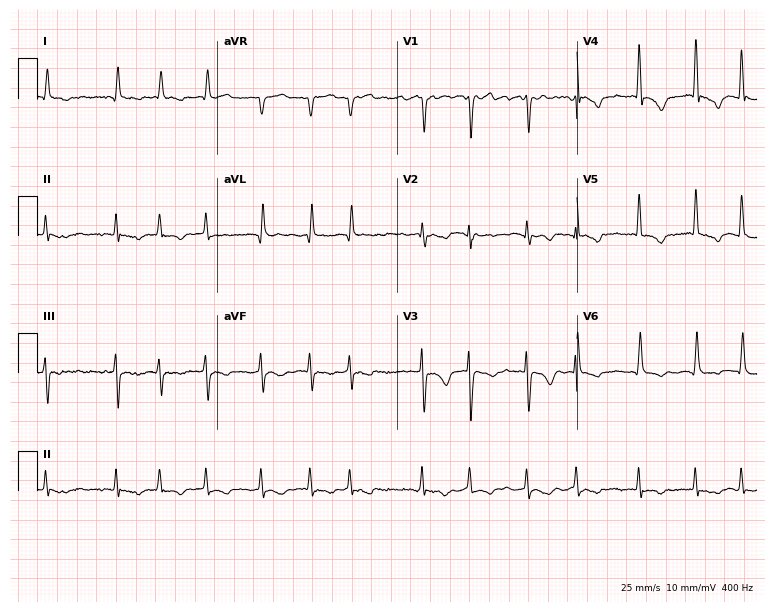
Electrocardiogram (7.3-second recording at 400 Hz), an 84-year-old female patient. Interpretation includes atrial fibrillation.